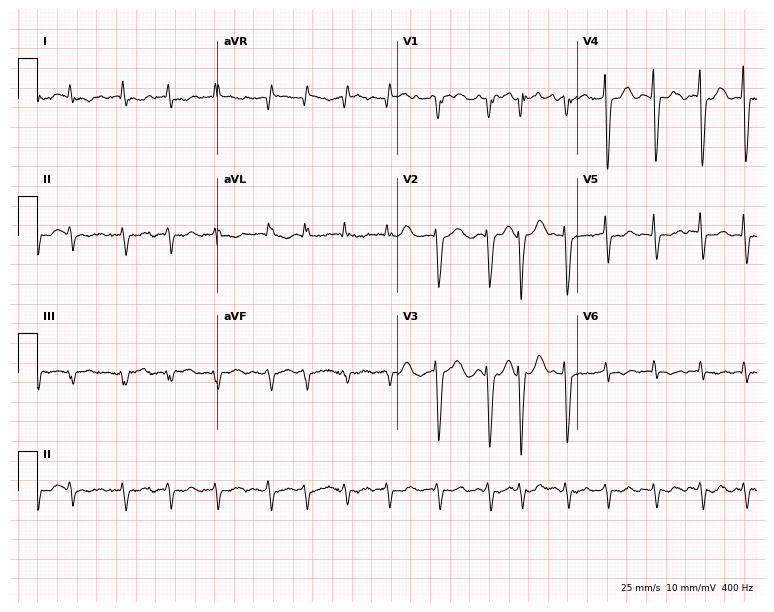
Standard 12-lead ECG recorded from a female, 75 years old (7.3-second recording at 400 Hz). The tracing shows atrial fibrillation.